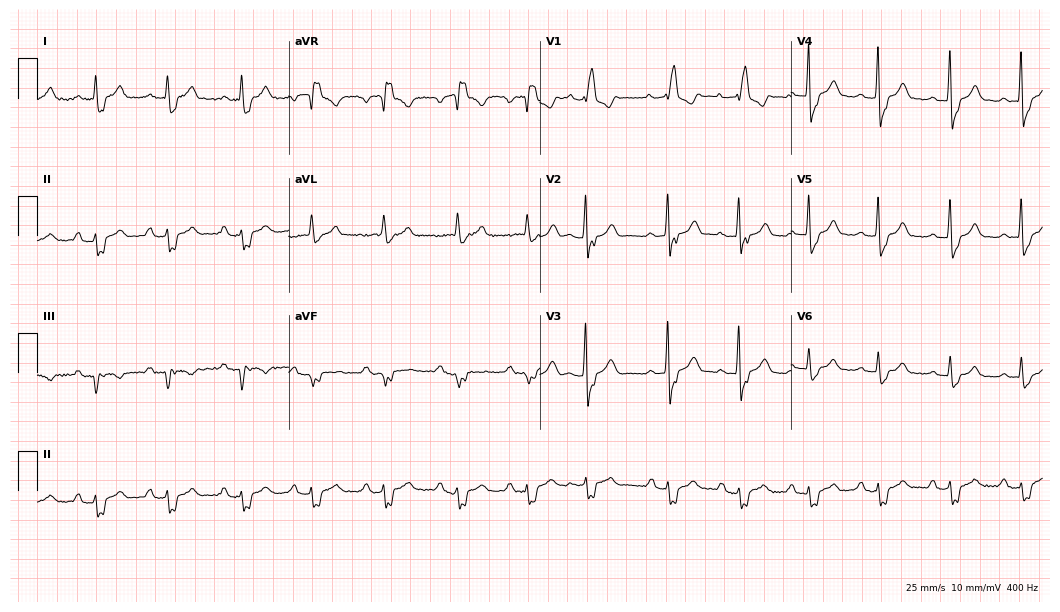
12-lead ECG from a 73-year-old female (10.2-second recording at 400 Hz). Shows right bundle branch block (RBBB).